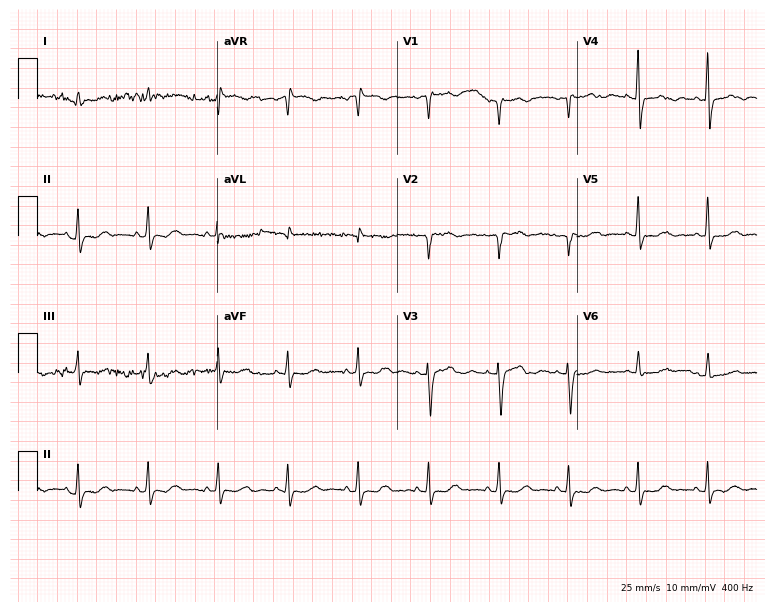
12-lead ECG from a 52-year-old female patient (7.3-second recording at 400 Hz). No first-degree AV block, right bundle branch block (RBBB), left bundle branch block (LBBB), sinus bradycardia, atrial fibrillation (AF) or sinus tachycardia recorded for this tracing. Findings outside these six are not listed.